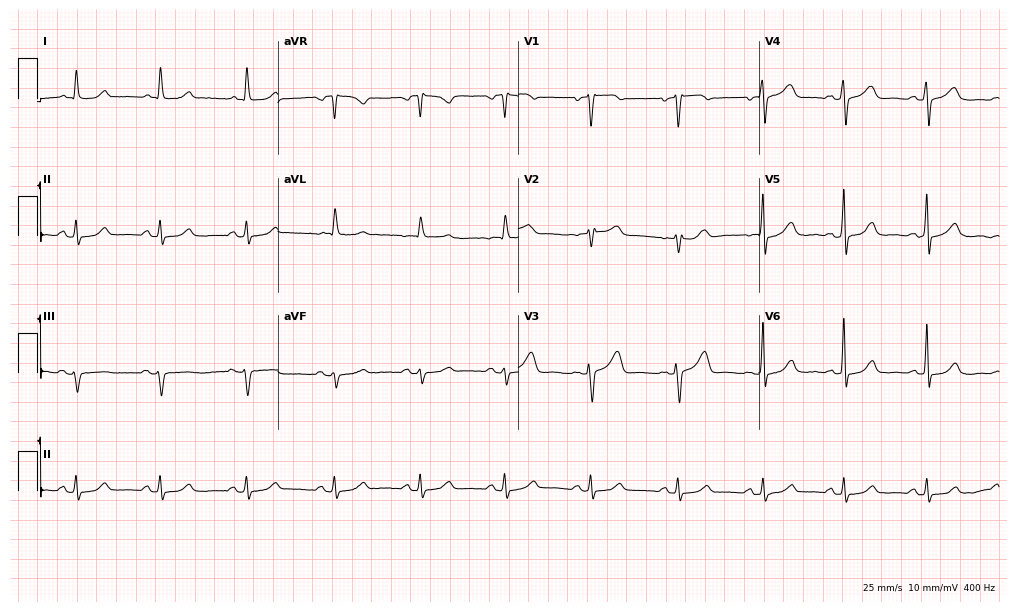
Resting 12-lead electrocardiogram. Patient: a female, 80 years old. Read as a normal ECG.